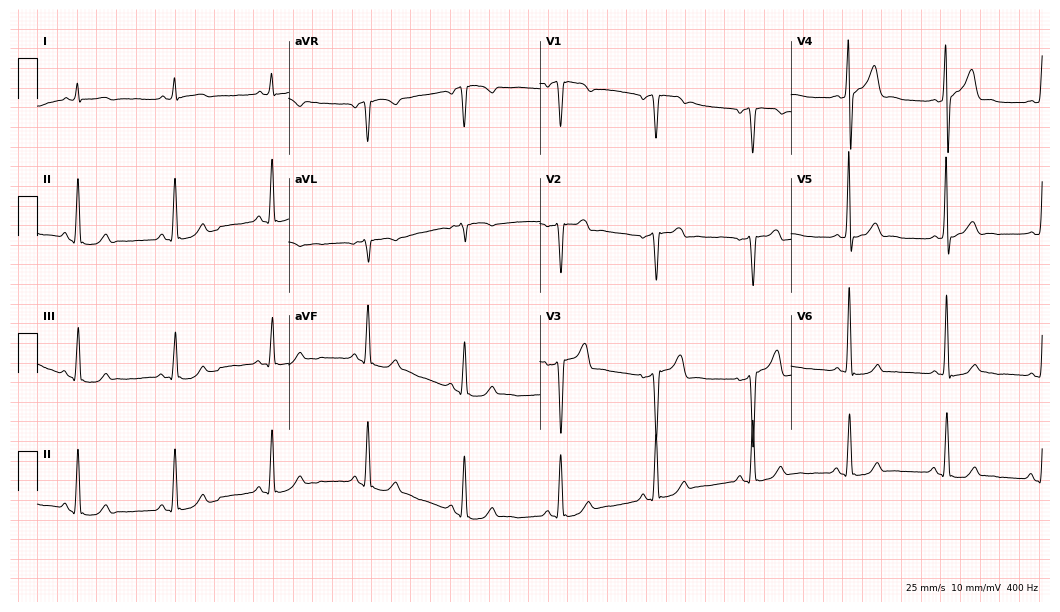
ECG (10.2-second recording at 400 Hz) — a 57-year-old male. Screened for six findings — first-degree AV block, right bundle branch block, left bundle branch block, sinus bradycardia, atrial fibrillation, sinus tachycardia — none is recorded. Only these six findings were labelled.